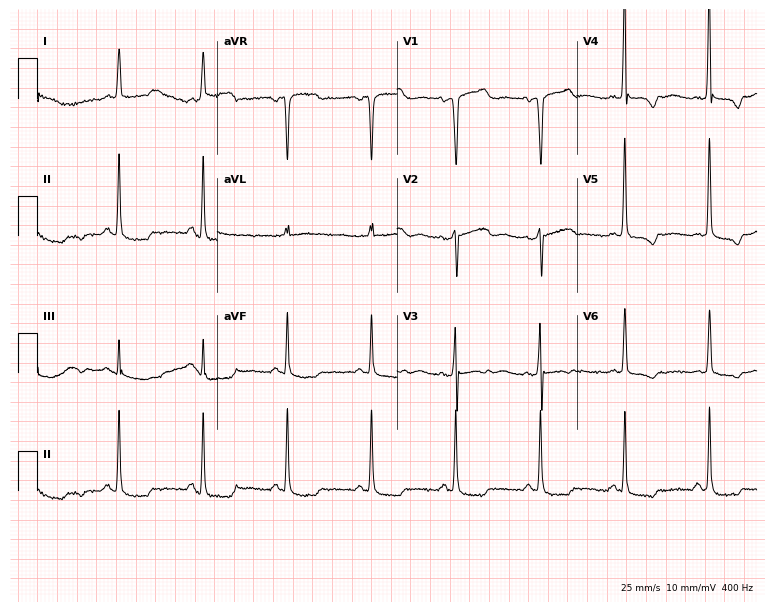
ECG — a 70-year-old female patient. Screened for six findings — first-degree AV block, right bundle branch block, left bundle branch block, sinus bradycardia, atrial fibrillation, sinus tachycardia — none is recorded.